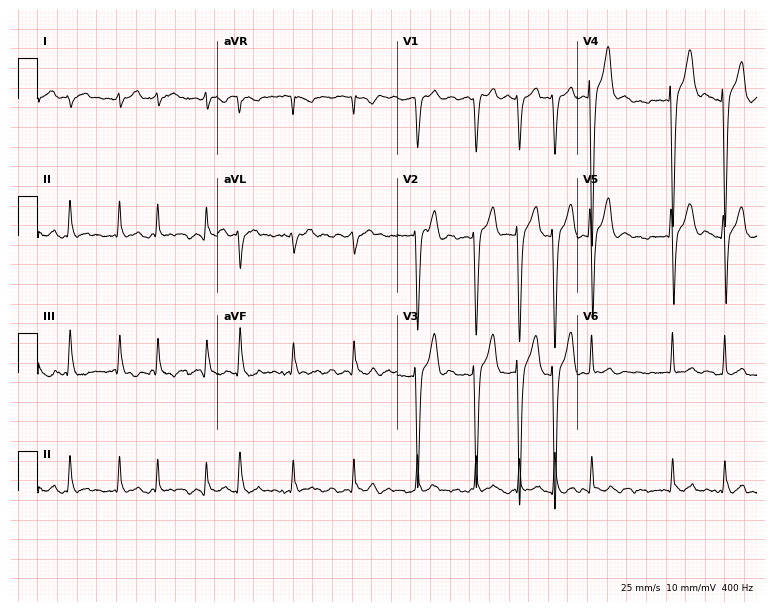
12-lead ECG from a male patient, 53 years old. Findings include atrial fibrillation (AF).